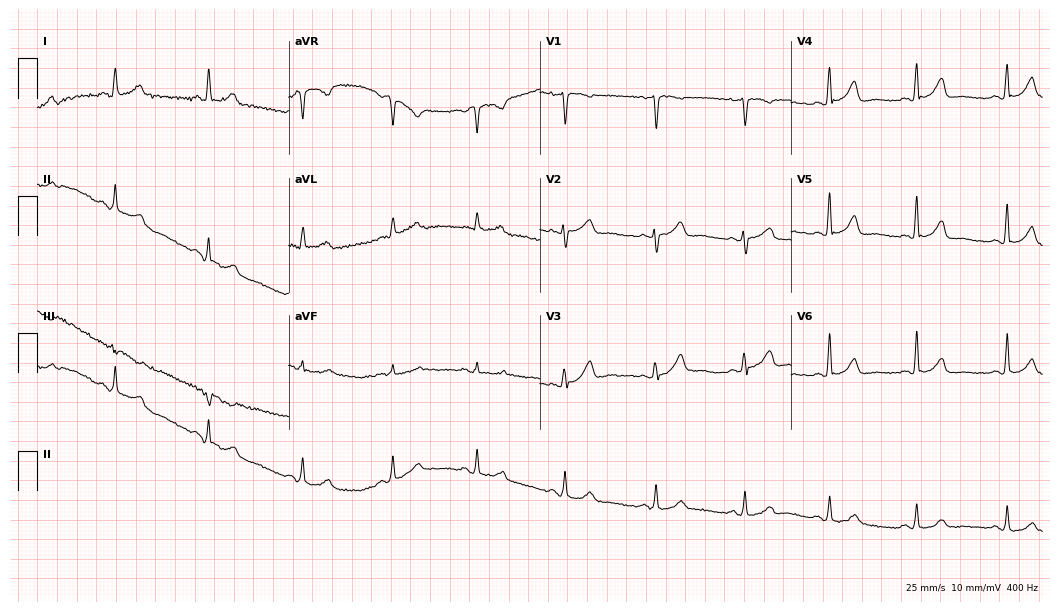
12-lead ECG from a 45-year-old woman. No first-degree AV block, right bundle branch block (RBBB), left bundle branch block (LBBB), sinus bradycardia, atrial fibrillation (AF) or sinus tachycardia recorded for this tracing. Other findings, if any, are not listed.